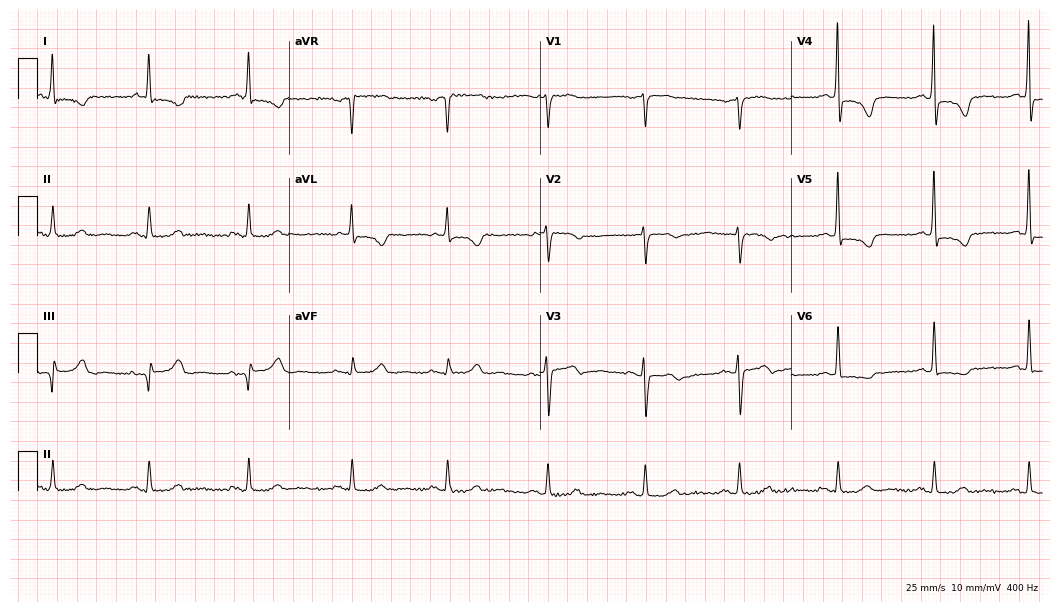
ECG (10.2-second recording at 400 Hz) — a 71-year-old woman. Screened for six findings — first-degree AV block, right bundle branch block, left bundle branch block, sinus bradycardia, atrial fibrillation, sinus tachycardia — none is recorded.